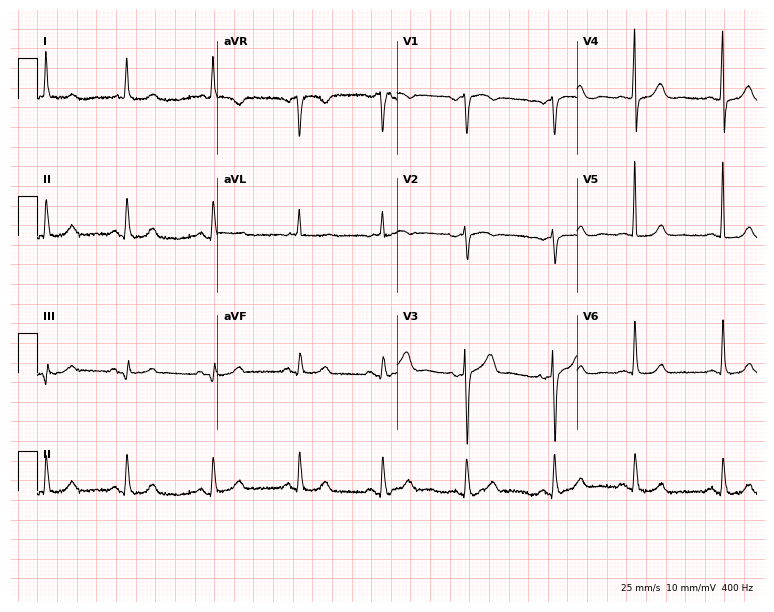
Electrocardiogram, a female, 85 years old. Overall reading on record: normal ECG.